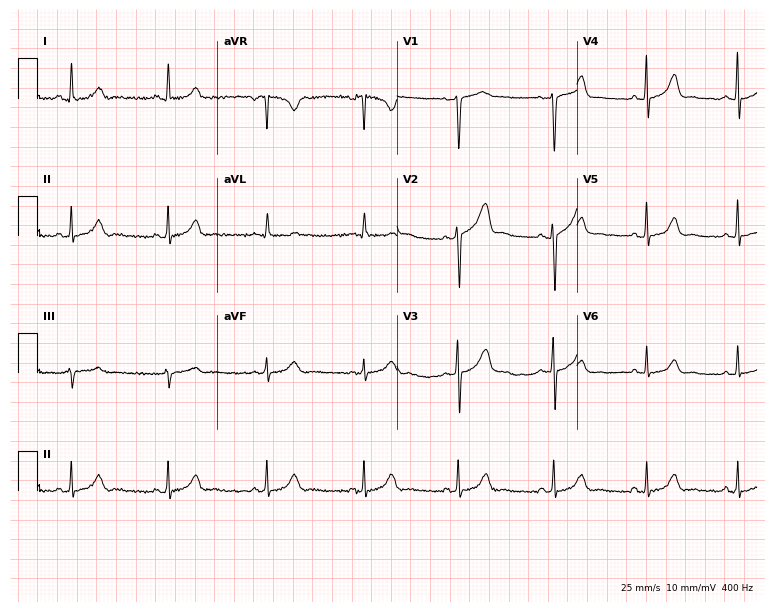
12-lead ECG from a female, 41 years old. Labelled as a normal ECG.